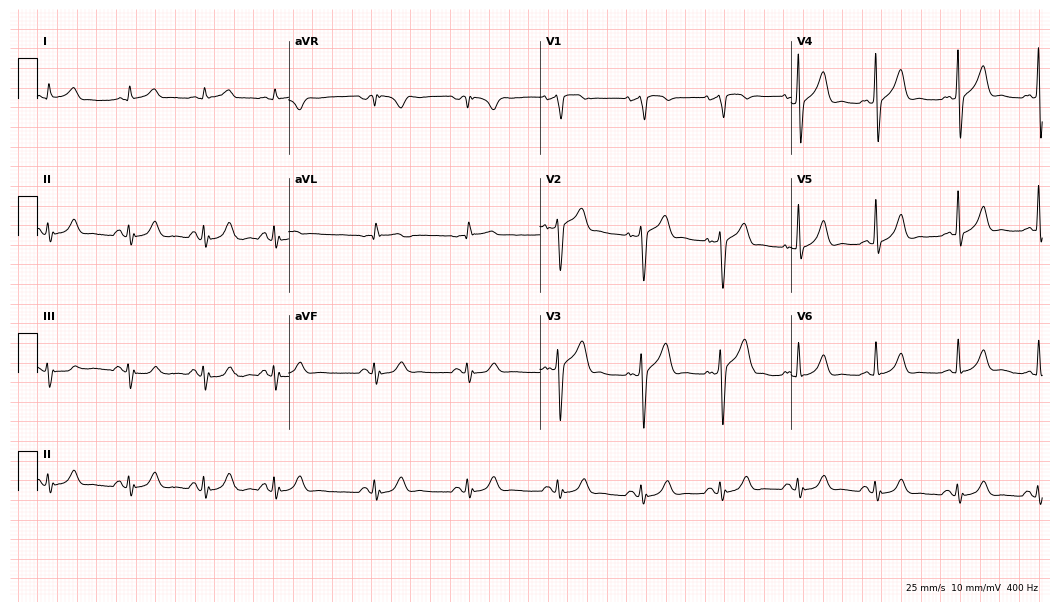
12-lead ECG (10.2-second recording at 400 Hz) from a man, 64 years old. Screened for six findings — first-degree AV block, right bundle branch block, left bundle branch block, sinus bradycardia, atrial fibrillation, sinus tachycardia — none is recorded.